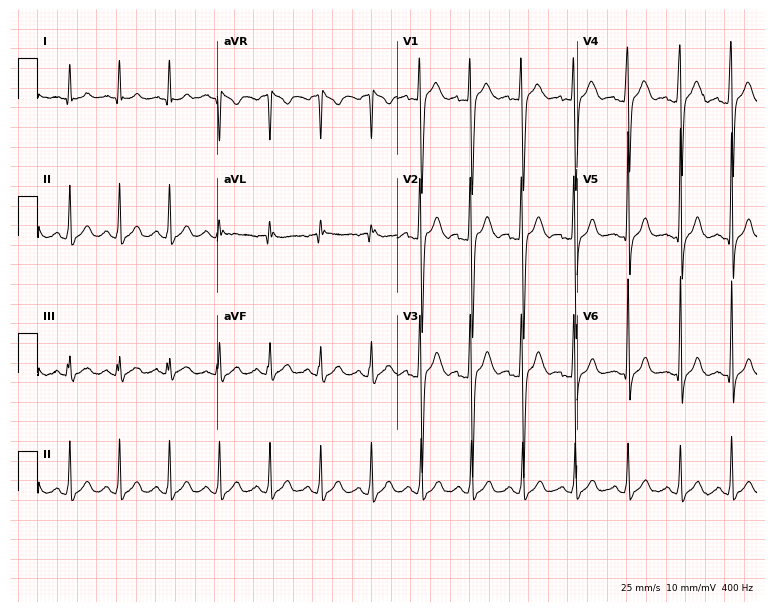
Electrocardiogram, a male, 21 years old. Interpretation includes sinus tachycardia (a sinus rate of 100 beats per minute or more).